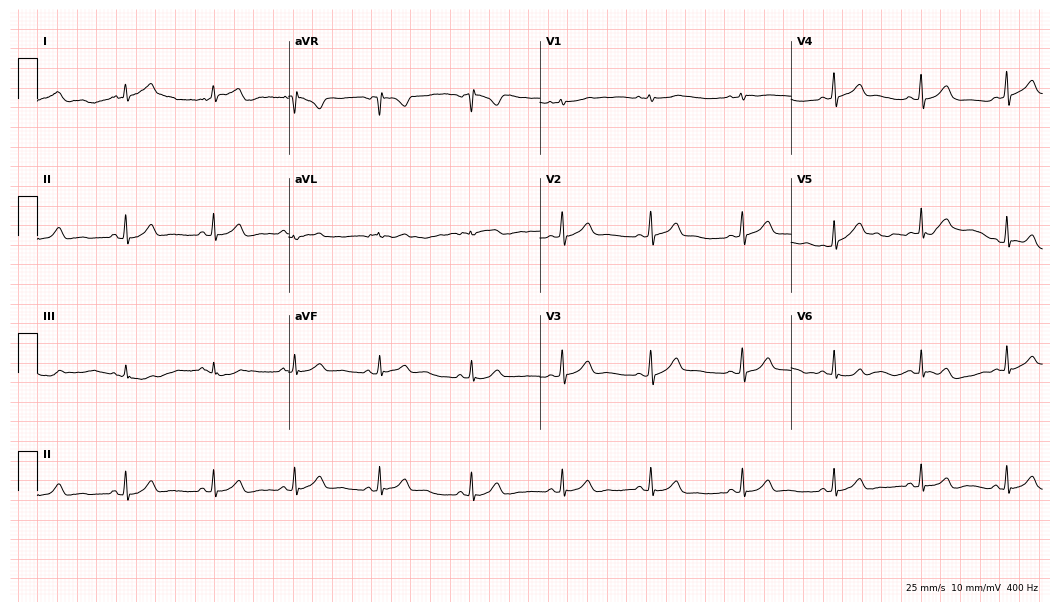
12-lead ECG from a female patient, 27 years old. Screened for six findings — first-degree AV block, right bundle branch block, left bundle branch block, sinus bradycardia, atrial fibrillation, sinus tachycardia — none is recorded. Only these six findings were labelled.